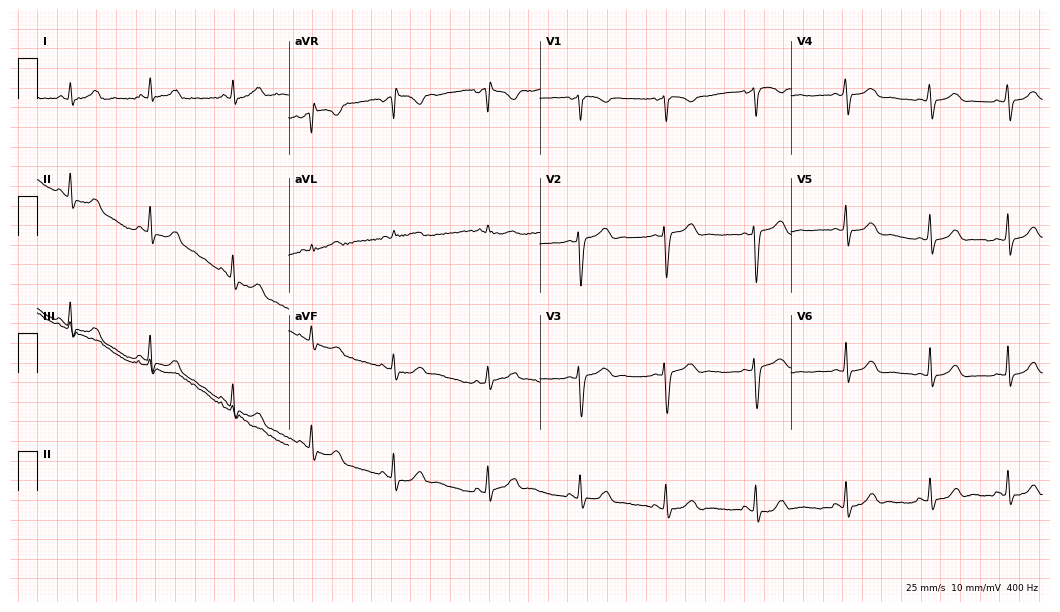
Standard 12-lead ECG recorded from a 24-year-old female. Read as a normal ECG.